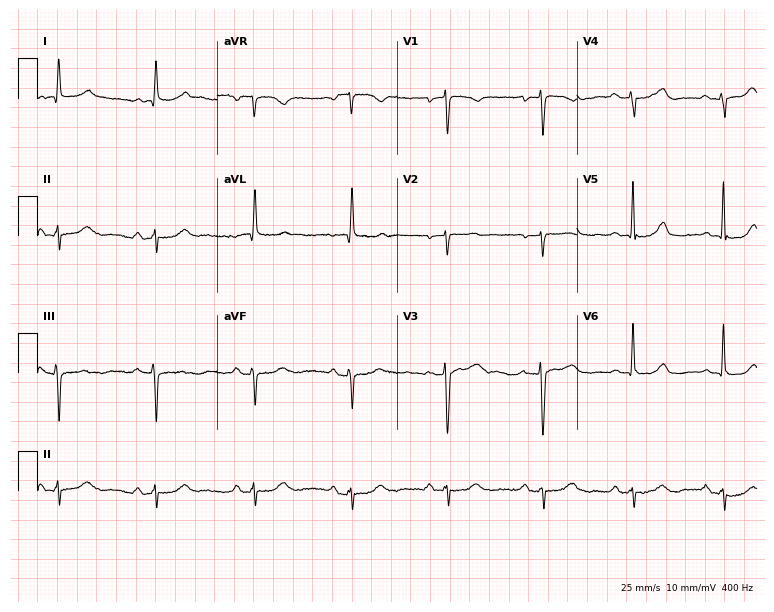
12-lead ECG from a 51-year-old female patient. Screened for six findings — first-degree AV block, right bundle branch block, left bundle branch block, sinus bradycardia, atrial fibrillation, sinus tachycardia — none is recorded.